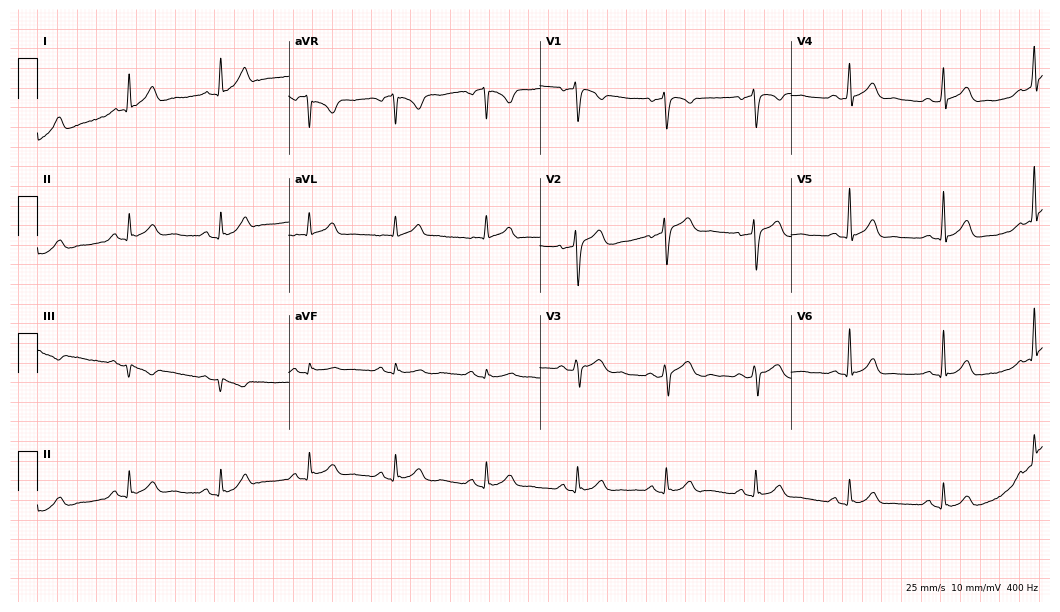
Resting 12-lead electrocardiogram. Patient: a male, 32 years old. Read as a normal ECG.